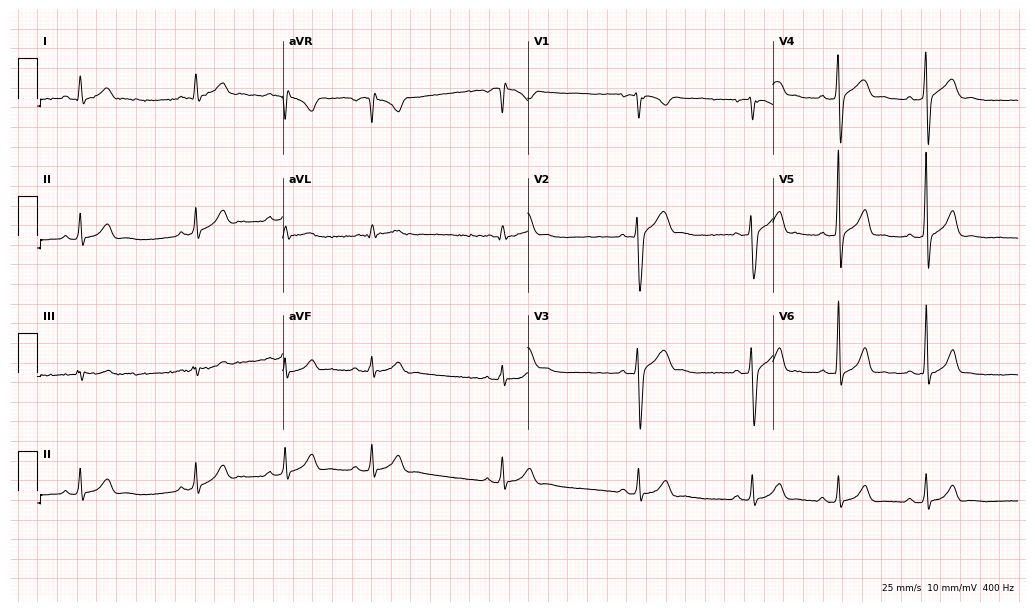
Electrocardiogram, a man, 26 years old. Overall reading on record: normal ECG.